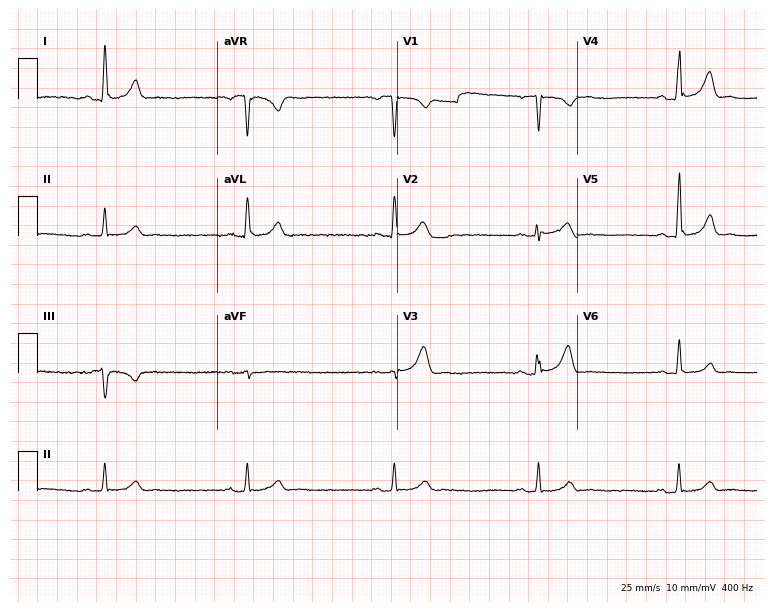
Resting 12-lead electrocardiogram (7.3-second recording at 400 Hz). Patient: a 42-year-old male. None of these six findings is recorded: first-degree AV block, right bundle branch block, left bundle branch block, sinus bradycardia, atrial fibrillation, sinus tachycardia.